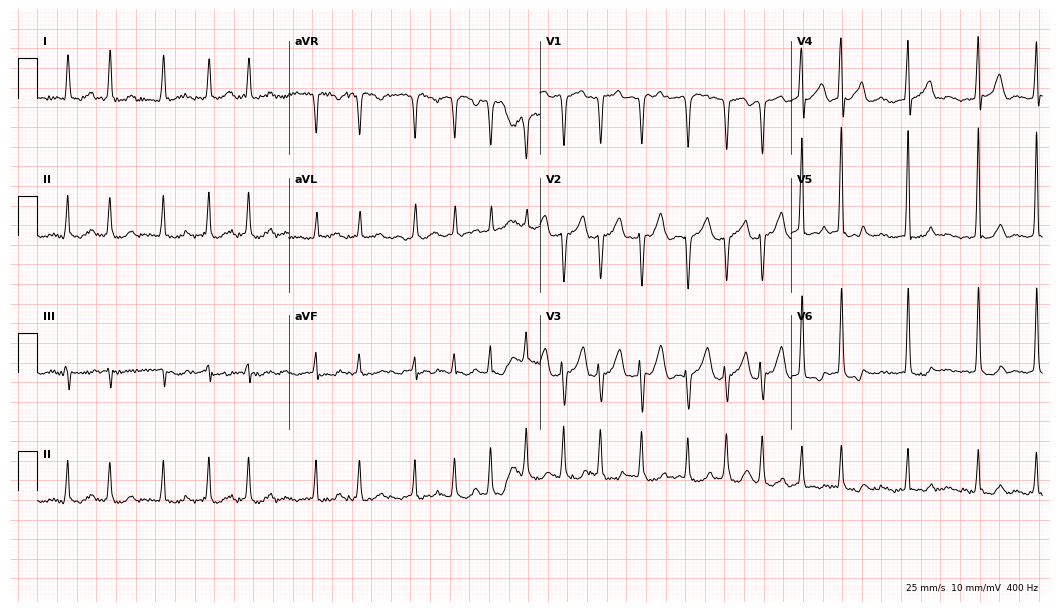
12-lead ECG from a female, 60 years old. Findings include atrial fibrillation.